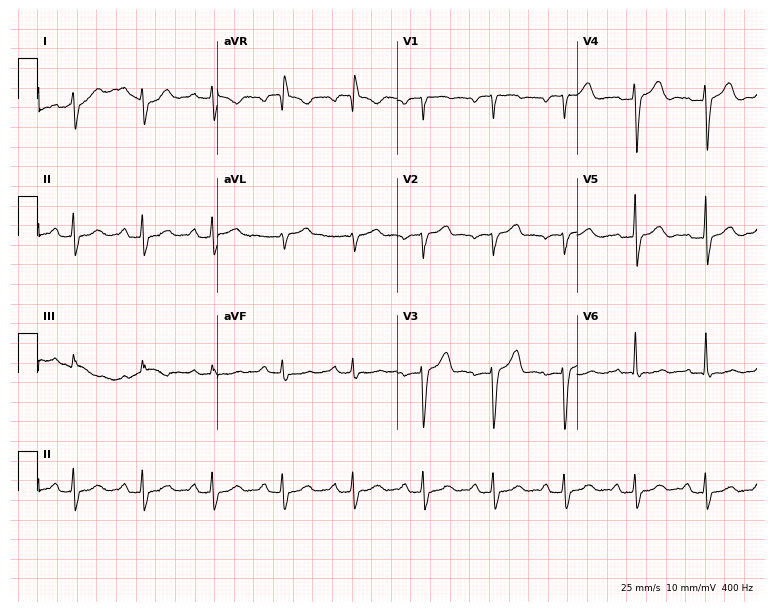
Electrocardiogram (7.3-second recording at 400 Hz), a 77-year-old female patient. Of the six screened findings (first-degree AV block, right bundle branch block (RBBB), left bundle branch block (LBBB), sinus bradycardia, atrial fibrillation (AF), sinus tachycardia), none is recorded.